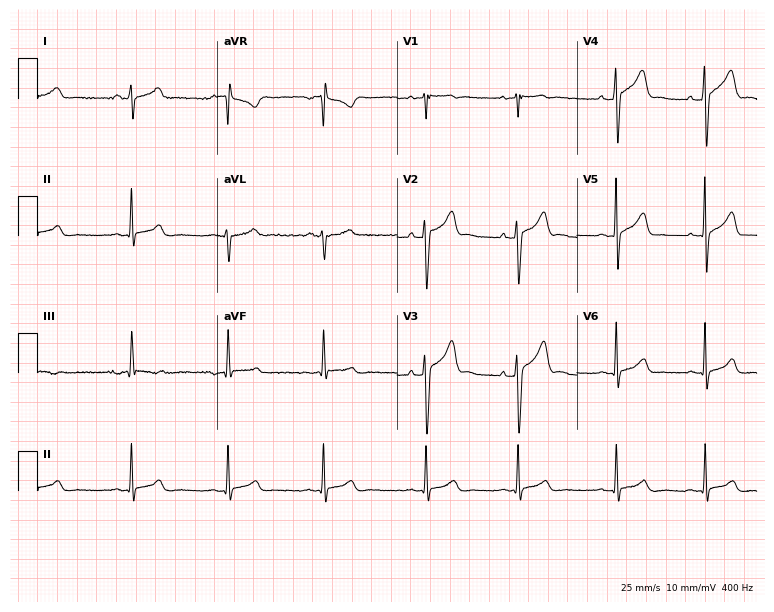
Electrocardiogram (7.3-second recording at 400 Hz), a male patient, 18 years old. Overall reading on record: normal ECG.